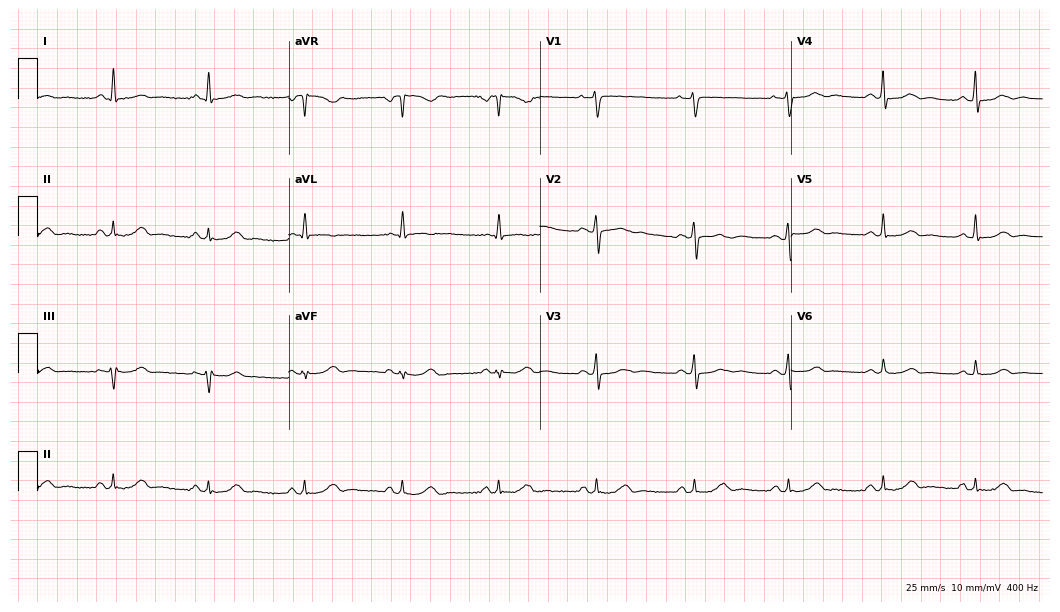
12-lead ECG from a woman, 53 years old. Labelled as a normal ECG.